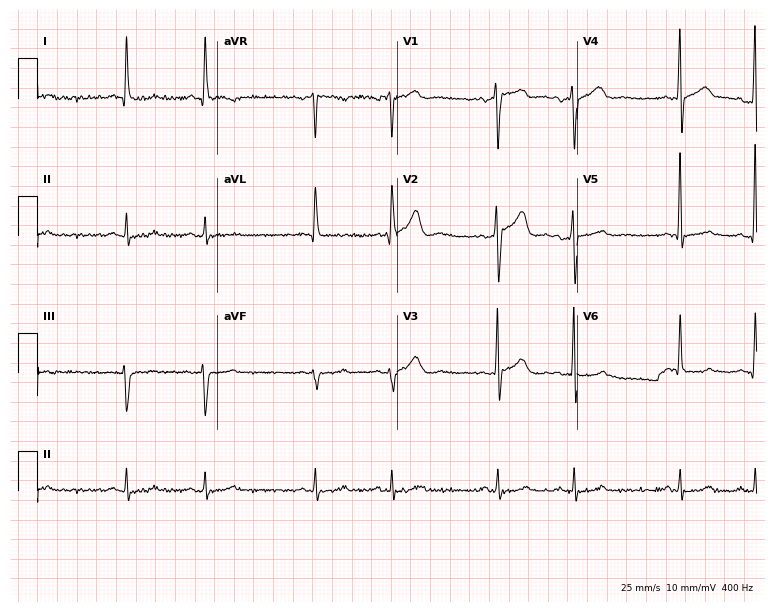
Standard 12-lead ECG recorded from a male patient, 61 years old. None of these six findings is recorded: first-degree AV block, right bundle branch block, left bundle branch block, sinus bradycardia, atrial fibrillation, sinus tachycardia.